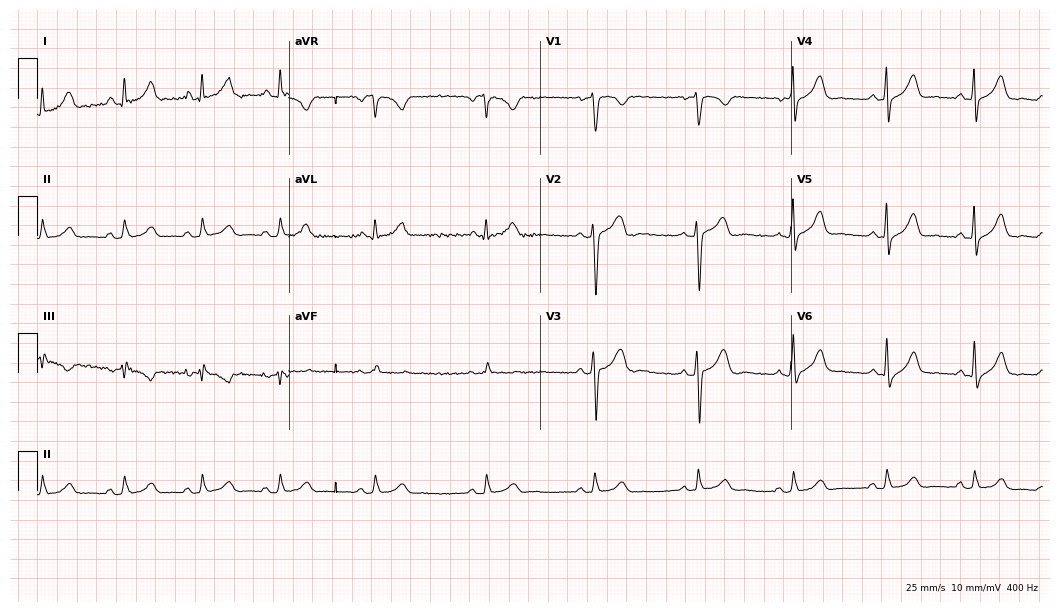
Standard 12-lead ECG recorded from a woman, 32 years old. Read as a normal ECG.